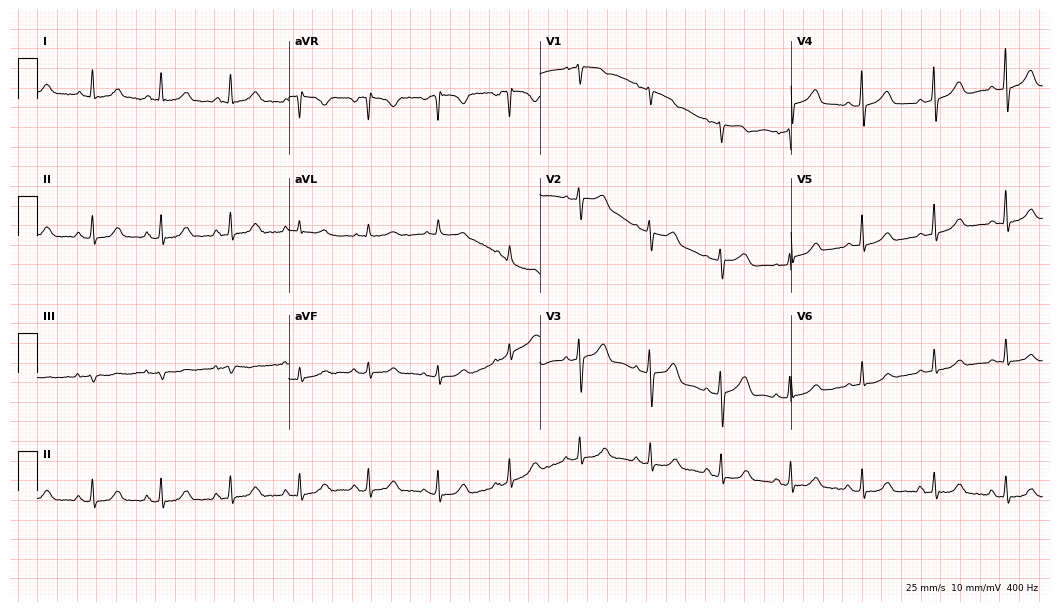
Standard 12-lead ECG recorded from an 80-year-old female. None of these six findings is recorded: first-degree AV block, right bundle branch block (RBBB), left bundle branch block (LBBB), sinus bradycardia, atrial fibrillation (AF), sinus tachycardia. Only these six findings were labelled.